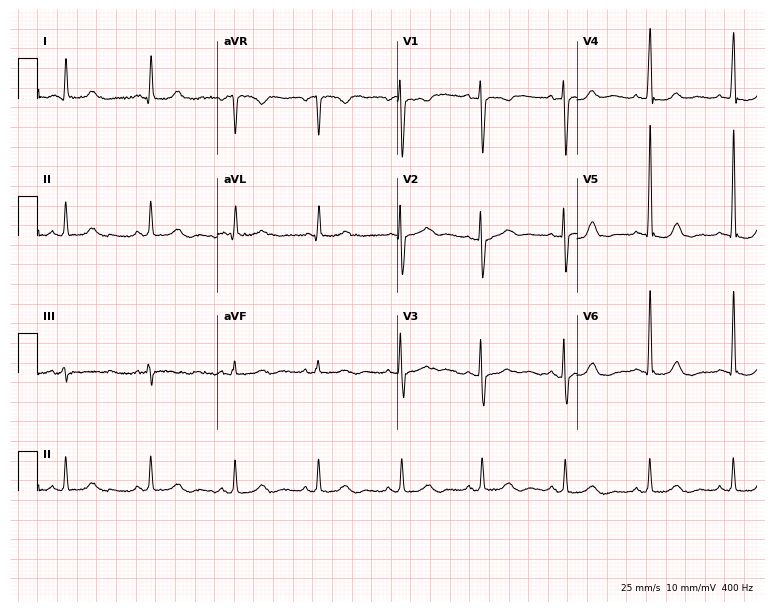
ECG (7.3-second recording at 400 Hz) — a woman, 53 years old. Screened for six findings — first-degree AV block, right bundle branch block, left bundle branch block, sinus bradycardia, atrial fibrillation, sinus tachycardia — none is recorded. Other findings, if any, are not listed.